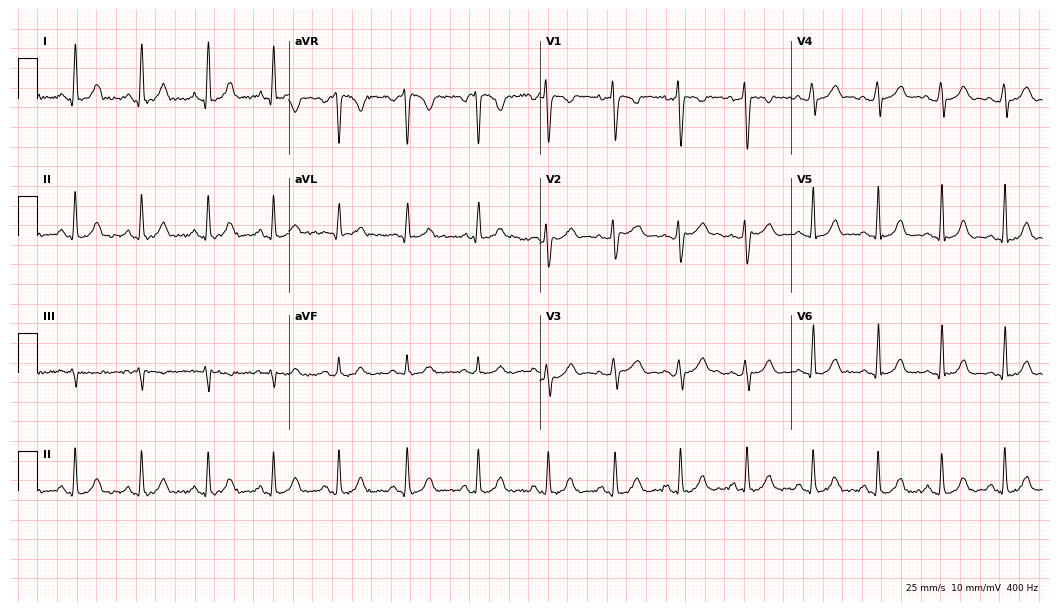
Electrocardiogram (10.2-second recording at 400 Hz), a woman, 31 years old. Overall reading on record: normal ECG.